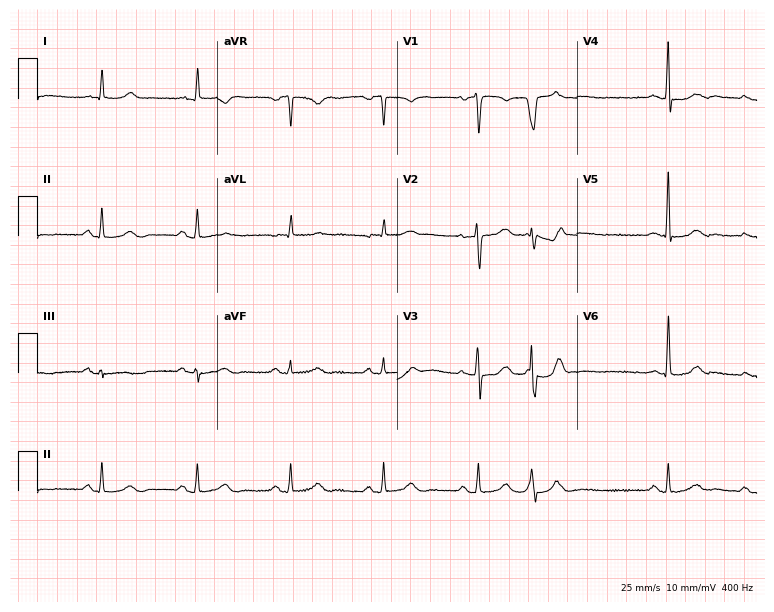
Electrocardiogram (7.3-second recording at 400 Hz), a 78-year-old man. Of the six screened findings (first-degree AV block, right bundle branch block, left bundle branch block, sinus bradycardia, atrial fibrillation, sinus tachycardia), none is recorded. Findings outside these six are not listed.